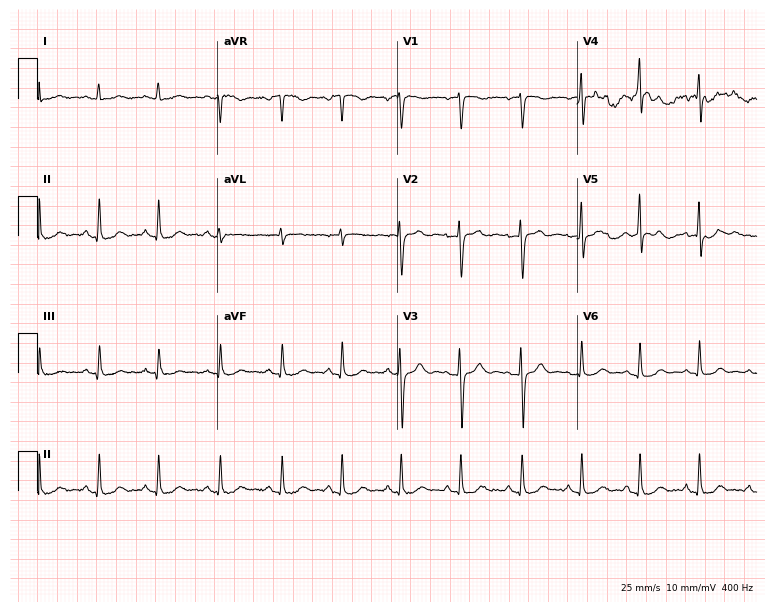
12-lead ECG from a 49-year-old woman. No first-degree AV block, right bundle branch block (RBBB), left bundle branch block (LBBB), sinus bradycardia, atrial fibrillation (AF) or sinus tachycardia recorded for this tracing.